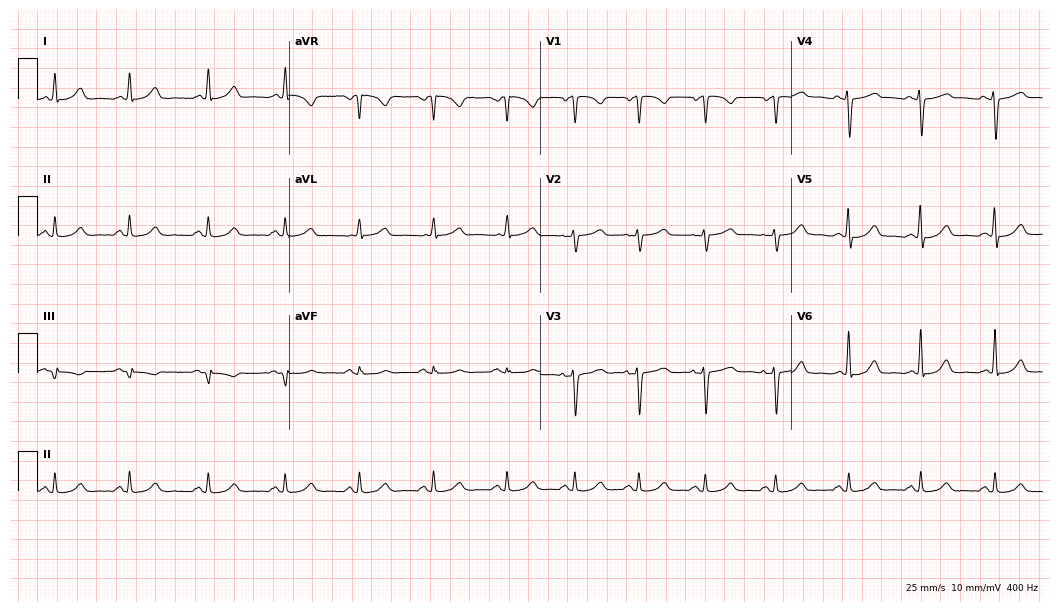
12-lead ECG from a 40-year-old female. No first-degree AV block, right bundle branch block, left bundle branch block, sinus bradycardia, atrial fibrillation or sinus tachycardia recorded for this tracing.